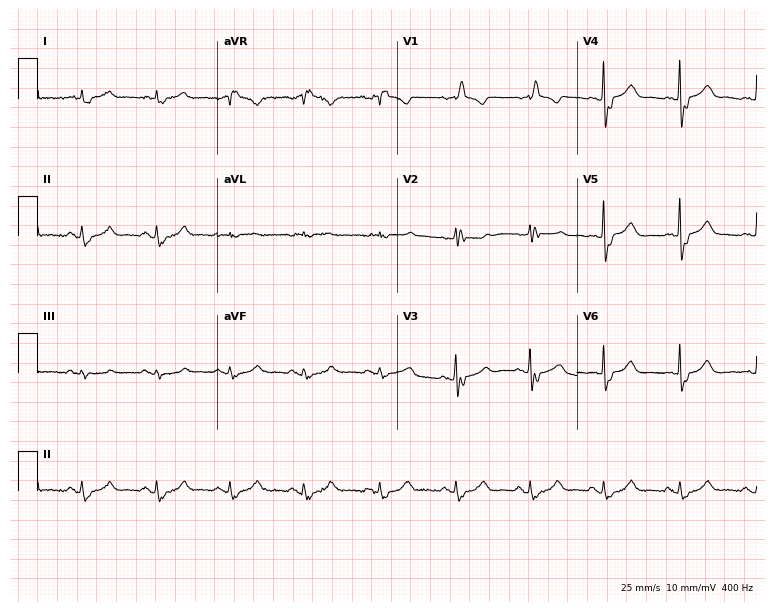
12-lead ECG (7.3-second recording at 400 Hz) from a male, 80 years old. Findings include right bundle branch block (RBBB).